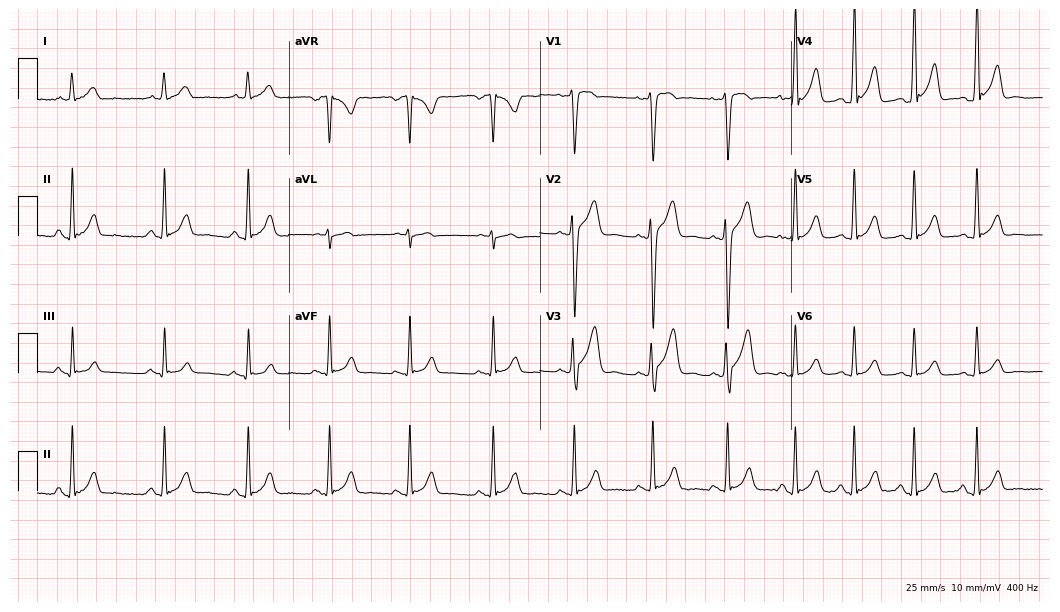
ECG (10.2-second recording at 400 Hz) — a male, 25 years old. Labelled as a normal ECG.